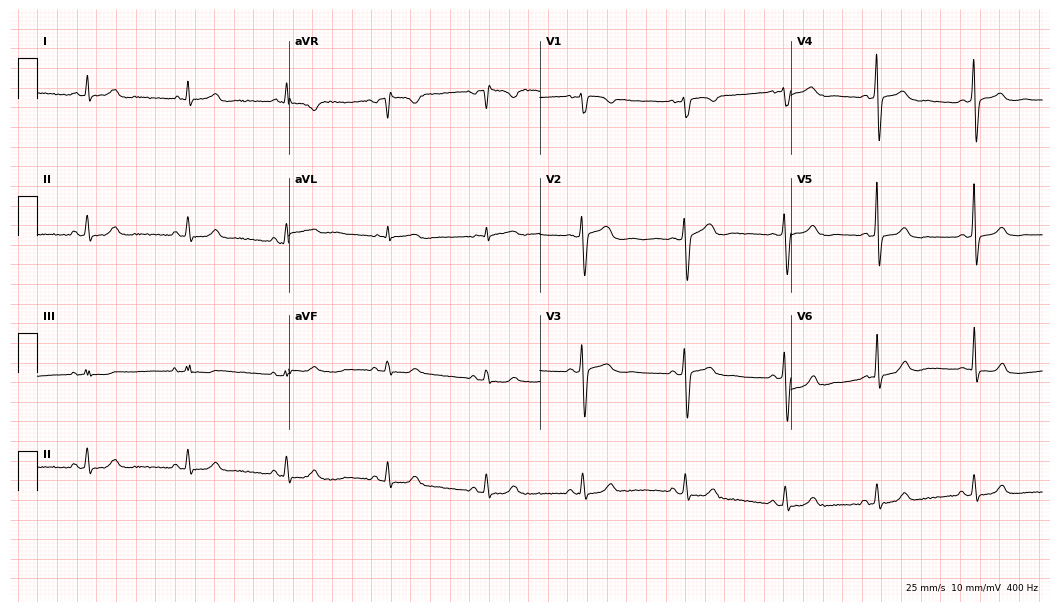
12-lead ECG from a 42-year-old female (10.2-second recording at 400 Hz). Recorded interpretation: within normal limits.